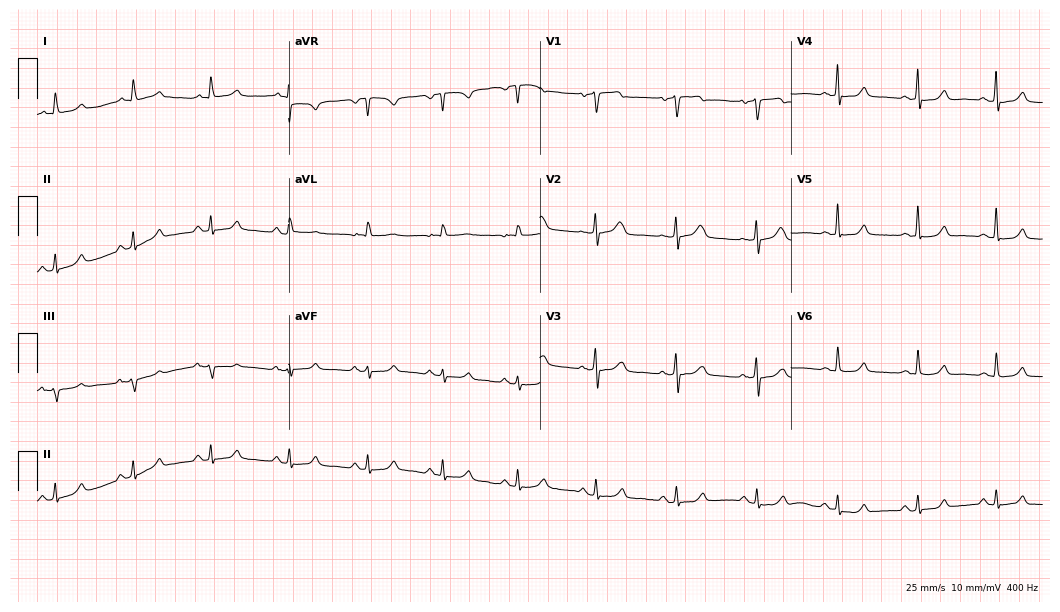
Electrocardiogram, a woman, 61 years old. Overall reading on record: normal ECG.